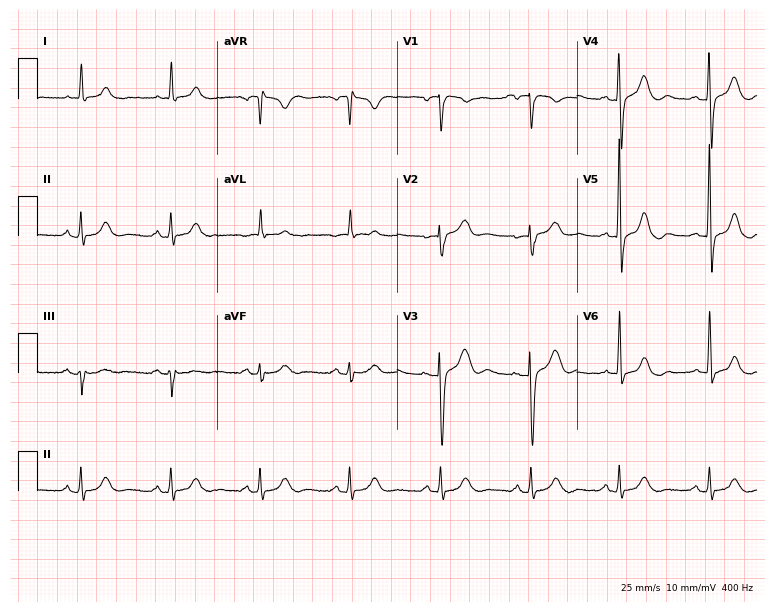
Resting 12-lead electrocardiogram. Patient: a female, 74 years old. None of these six findings is recorded: first-degree AV block, right bundle branch block, left bundle branch block, sinus bradycardia, atrial fibrillation, sinus tachycardia. Findings outside these six are not listed.